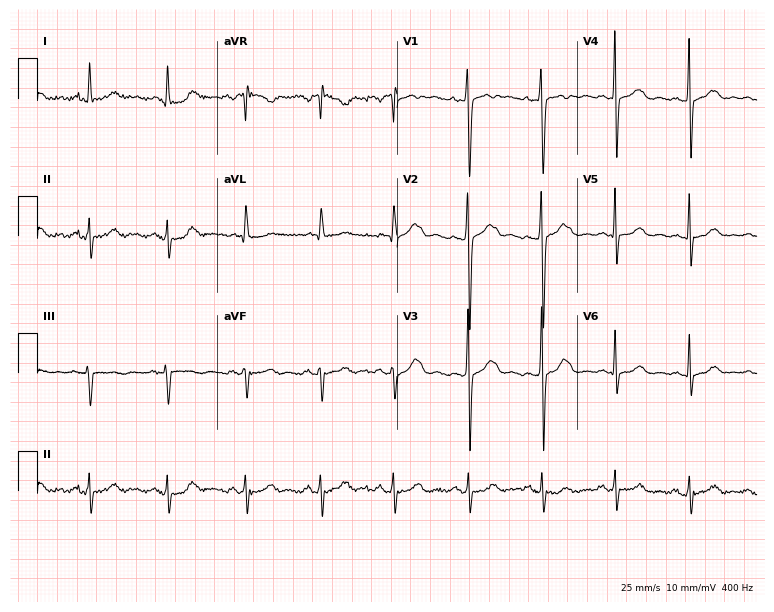
Electrocardiogram (7.3-second recording at 400 Hz), a woman, 33 years old. Of the six screened findings (first-degree AV block, right bundle branch block, left bundle branch block, sinus bradycardia, atrial fibrillation, sinus tachycardia), none is recorded. Only these six findings were labelled.